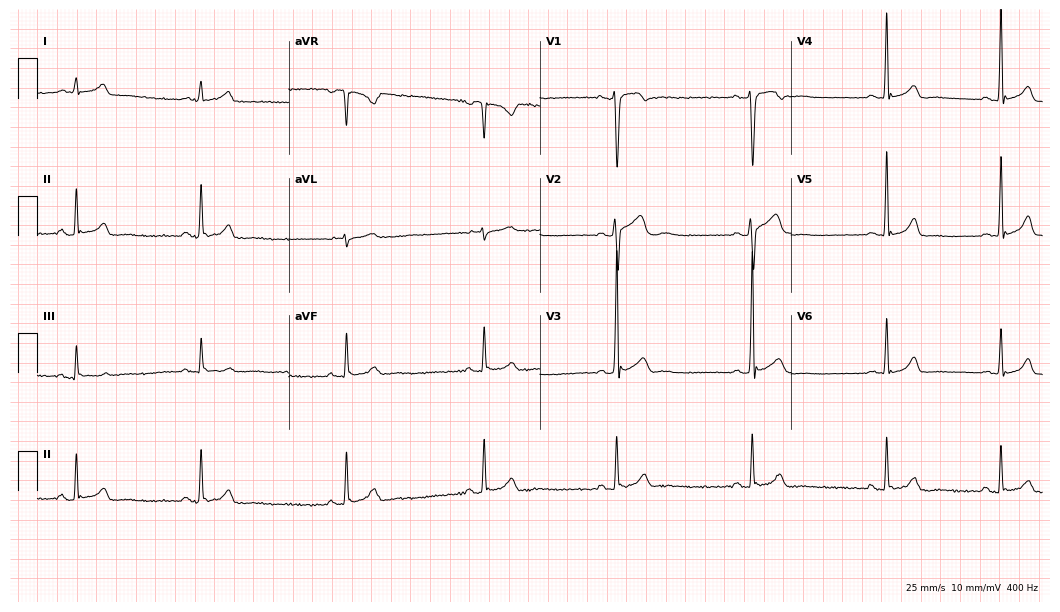
Resting 12-lead electrocardiogram. Patient: a man, 23 years old. The tracing shows sinus bradycardia (a sinus rate of 50 beats per minute or less).